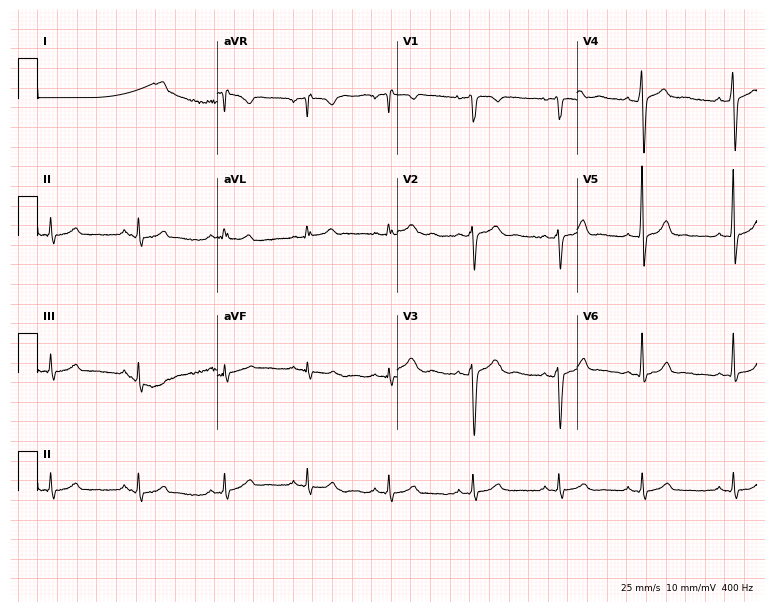
Resting 12-lead electrocardiogram (7.3-second recording at 400 Hz). Patient: a 17-year-old man. None of these six findings is recorded: first-degree AV block, right bundle branch block, left bundle branch block, sinus bradycardia, atrial fibrillation, sinus tachycardia. Other findings, if any, are not listed.